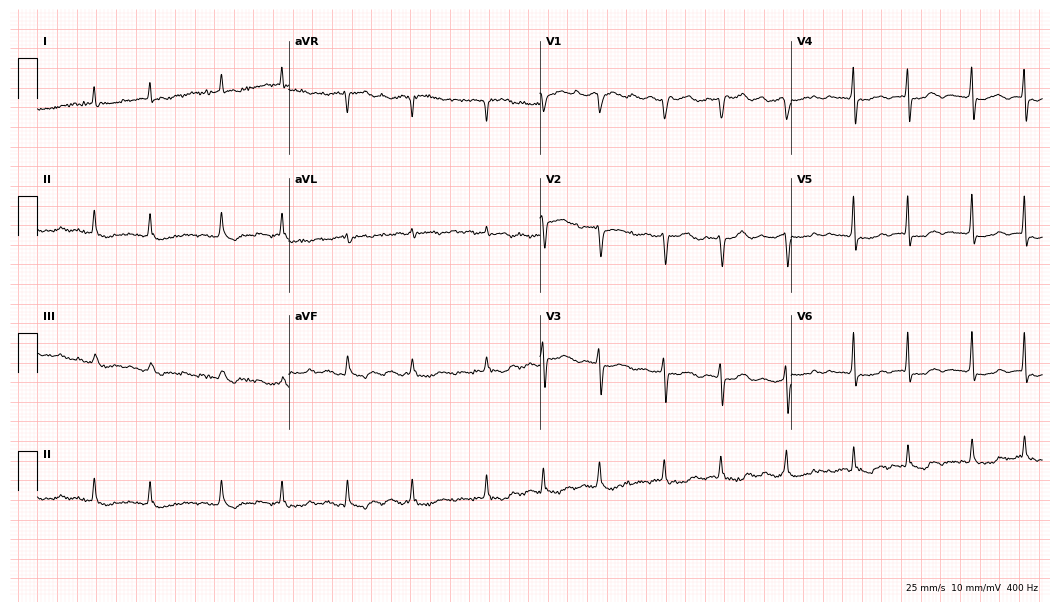
12-lead ECG from a 67-year-old woman. No first-degree AV block, right bundle branch block (RBBB), left bundle branch block (LBBB), sinus bradycardia, atrial fibrillation (AF) or sinus tachycardia recorded for this tracing. Only these six findings were labelled.